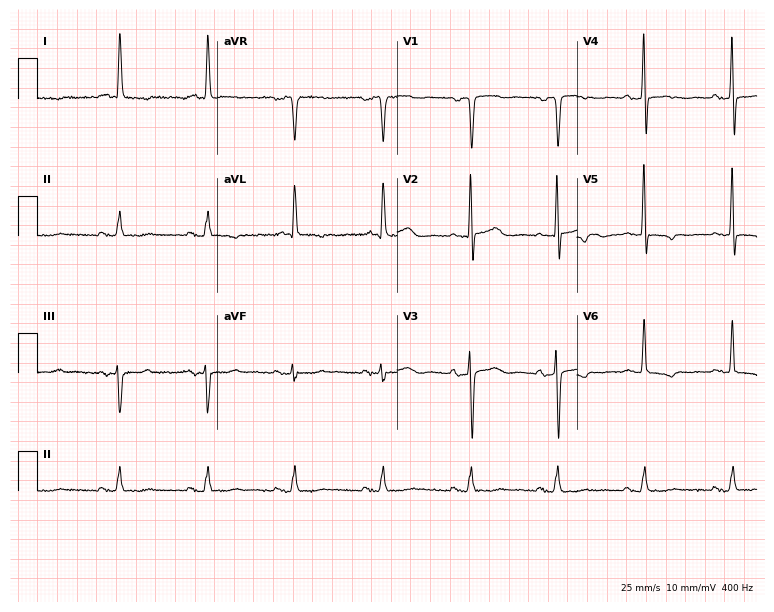
Standard 12-lead ECG recorded from a female patient, 64 years old (7.3-second recording at 400 Hz). None of these six findings is recorded: first-degree AV block, right bundle branch block (RBBB), left bundle branch block (LBBB), sinus bradycardia, atrial fibrillation (AF), sinus tachycardia.